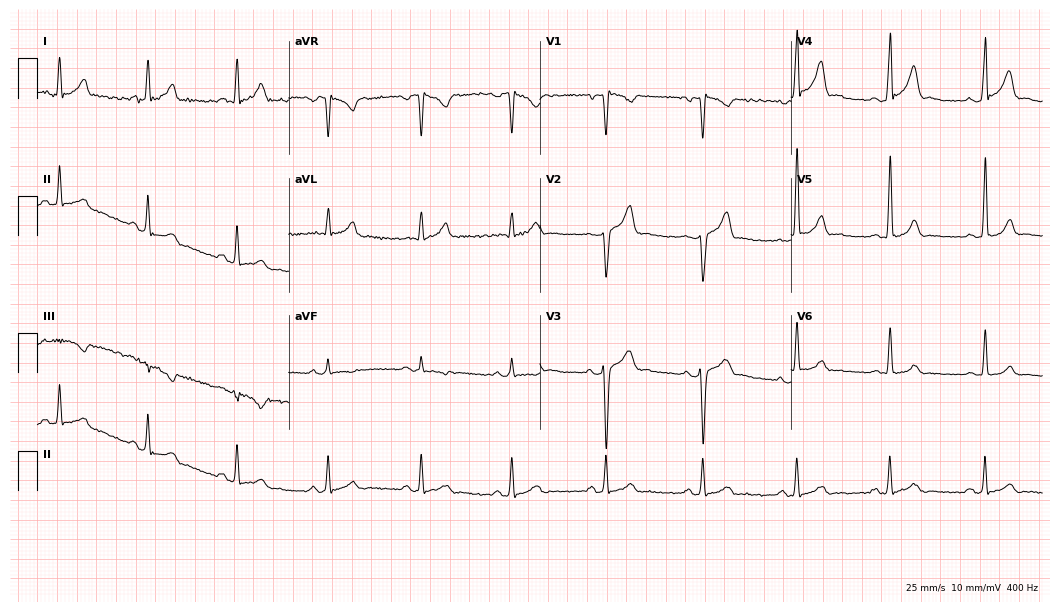
Standard 12-lead ECG recorded from a male patient, 28 years old (10.2-second recording at 400 Hz). None of these six findings is recorded: first-degree AV block, right bundle branch block, left bundle branch block, sinus bradycardia, atrial fibrillation, sinus tachycardia.